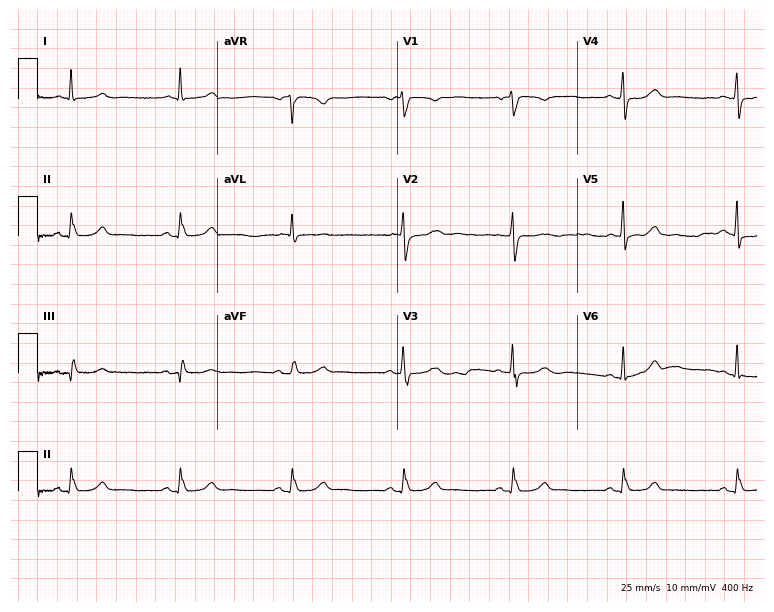
Standard 12-lead ECG recorded from a female, 68 years old. Read as a normal ECG.